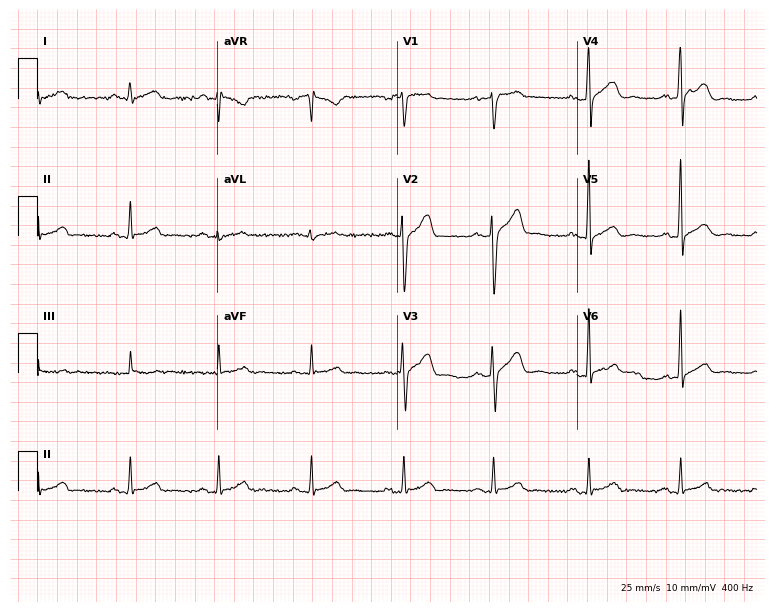
12-lead ECG from a 33-year-old male. No first-degree AV block, right bundle branch block, left bundle branch block, sinus bradycardia, atrial fibrillation or sinus tachycardia recorded for this tracing. Only these six findings were labelled.